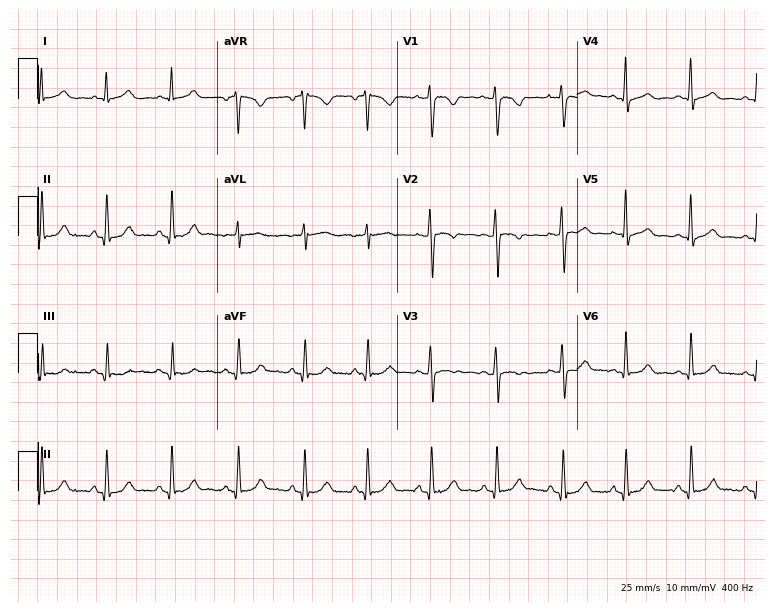
12-lead ECG from a 22-year-old woman (7.3-second recording at 400 Hz). No first-degree AV block, right bundle branch block, left bundle branch block, sinus bradycardia, atrial fibrillation or sinus tachycardia recorded for this tracing.